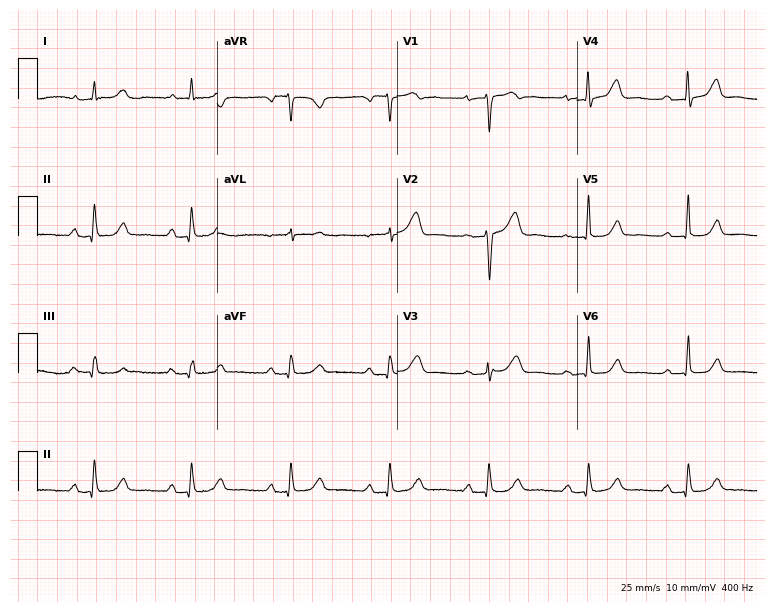
Standard 12-lead ECG recorded from an 82-year-old female patient (7.3-second recording at 400 Hz). None of these six findings is recorded: first-degree AV block, right bundle branch block (RBBB), left bundle branch block (LBBB), sinus bradycardia, atrial fibrillation (AF), sinus tachycardia.